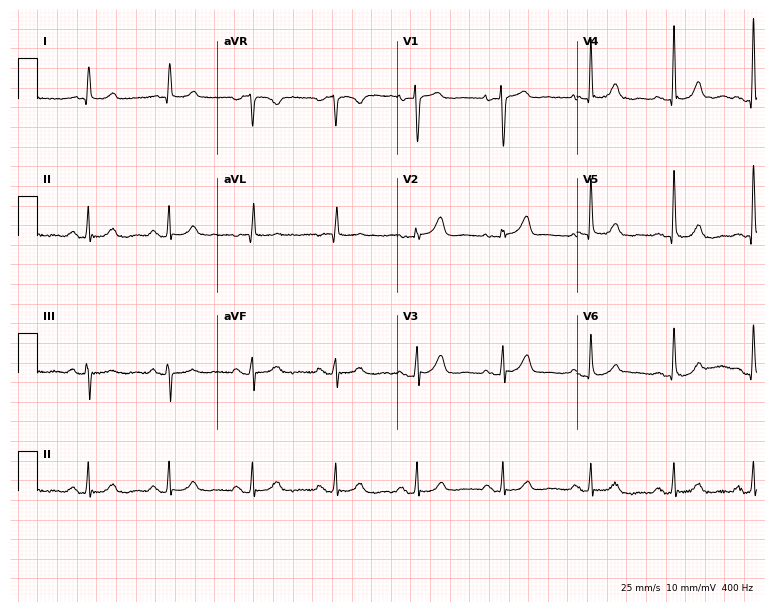
Resting 12-lead electrocardiogram (7.3-second recording at 400 Hz). Patient: a woman, 76 years old. Read as a normal ECG.